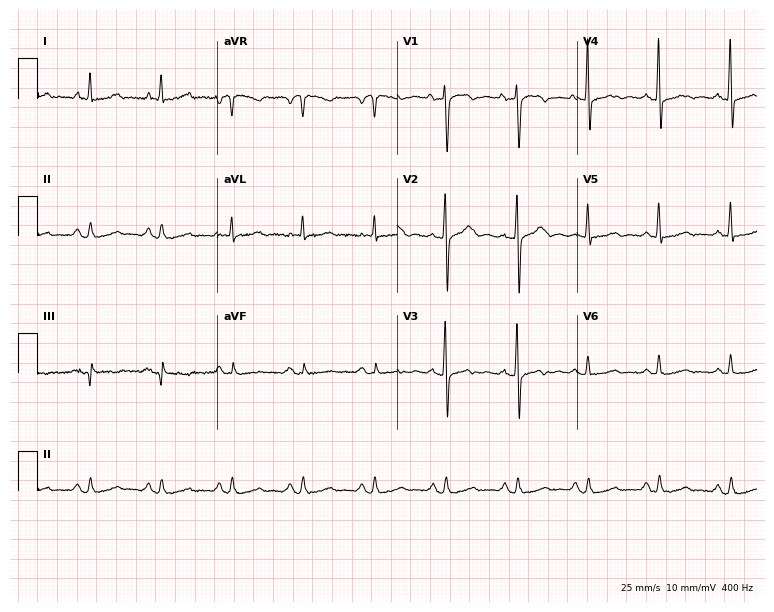
Electrocardiogram (7.3-second recording at 400 Hz), a 72-year-old female. Of the six screened findings (first-degree AV block, right bundle branch block, left bundle branch block, sinus bradycardia, atrial fibrillation, sinus tachycardia), none is recorded. Other findings, if any, are not listed.